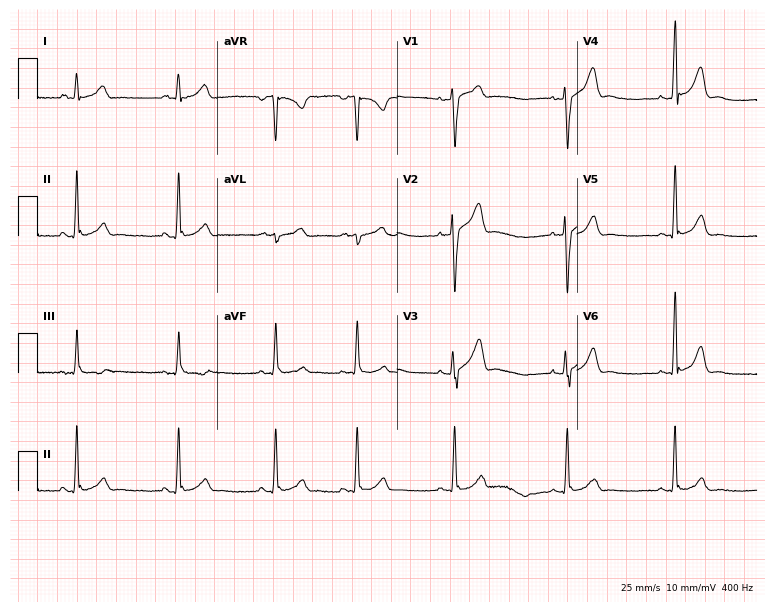
Standard 12-lead ECG recorded from a 25-year-old man. Read as a normal ECG.